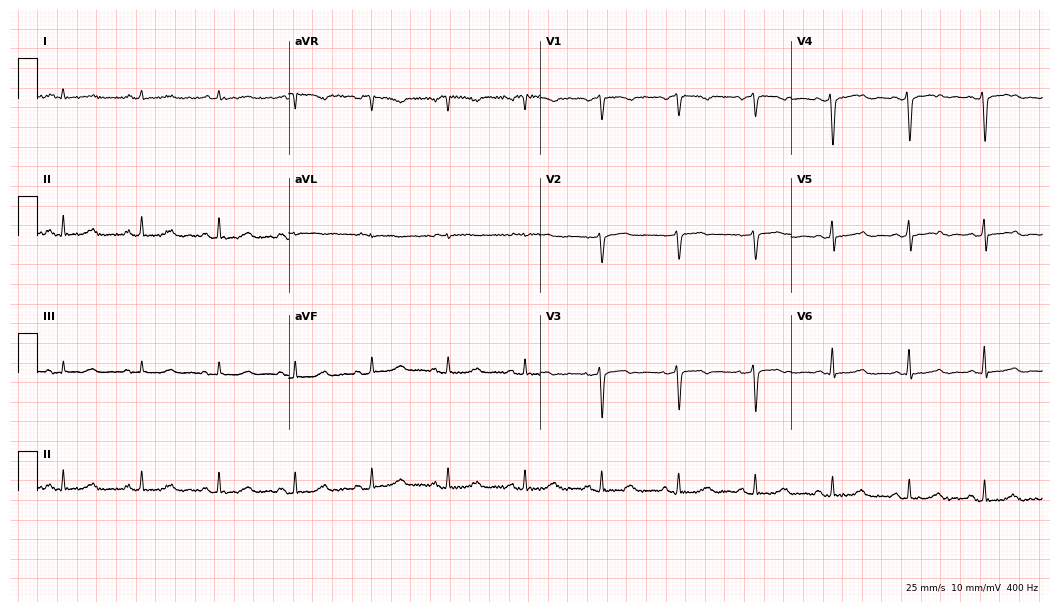
12-lead ECG from a 62-year-old female. No first-degree AV block, right bundle branch block, left bundle branch block, sinus bradycardia, atrial fibrillation or sinus tachycardia recorded for this tracing.